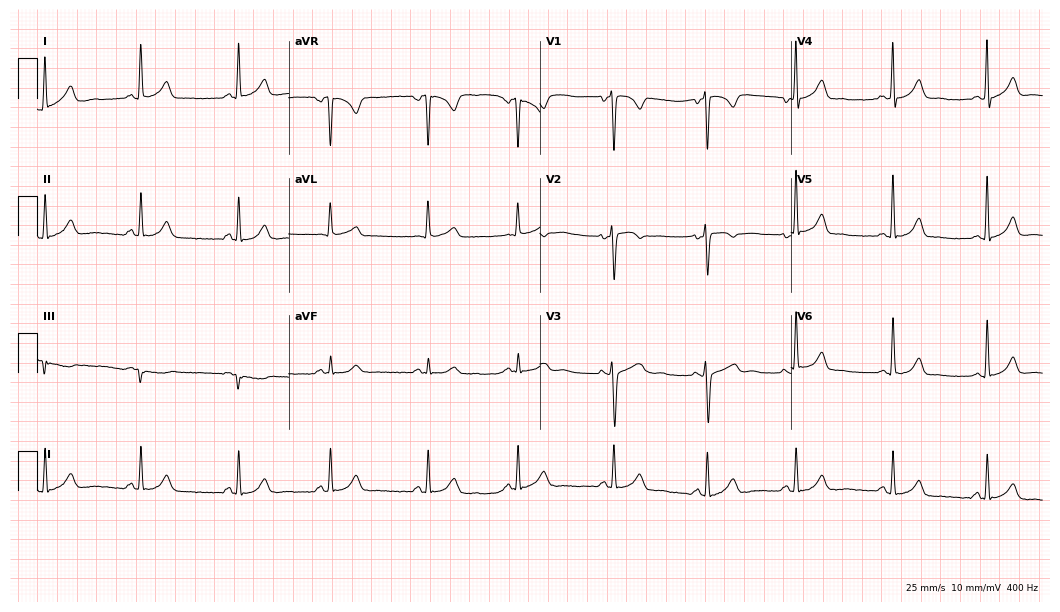
12-lead ECG (10.2-second recording at 400 Hz) from a female patient, 32 years old. Labelled as a normal ECG.